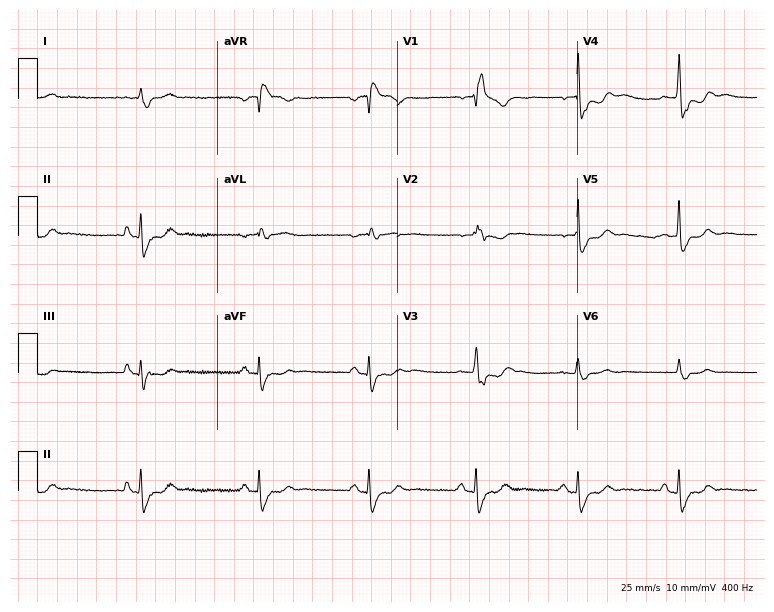
Resting 12-lead electrocardiogram. Patient: a male, 77 years old. The tracing shows right bundle branch block.